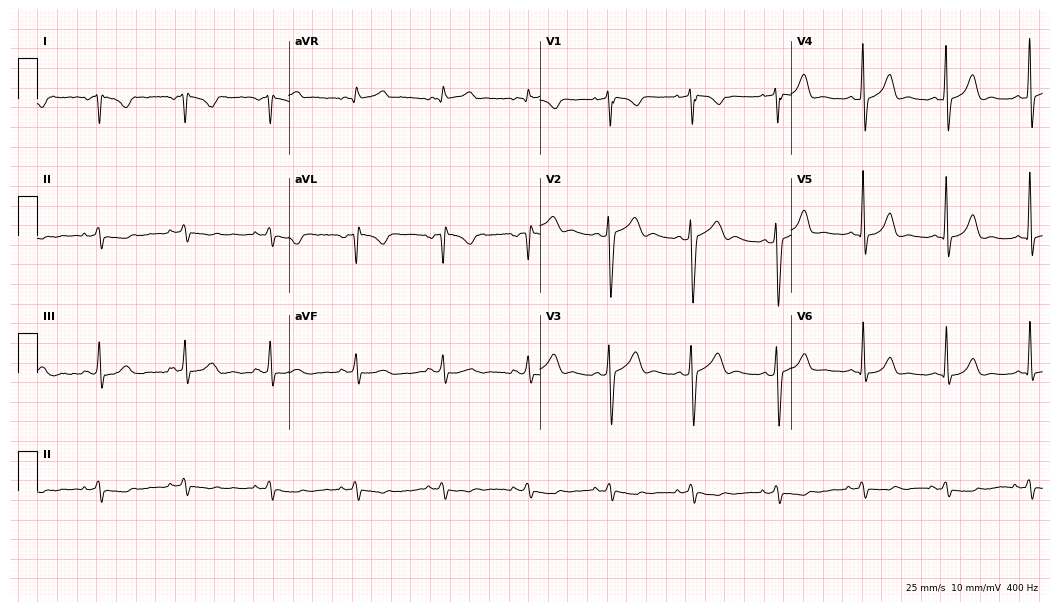
ECG — a 41-year-old female patient. Labelled as a normal ECG.